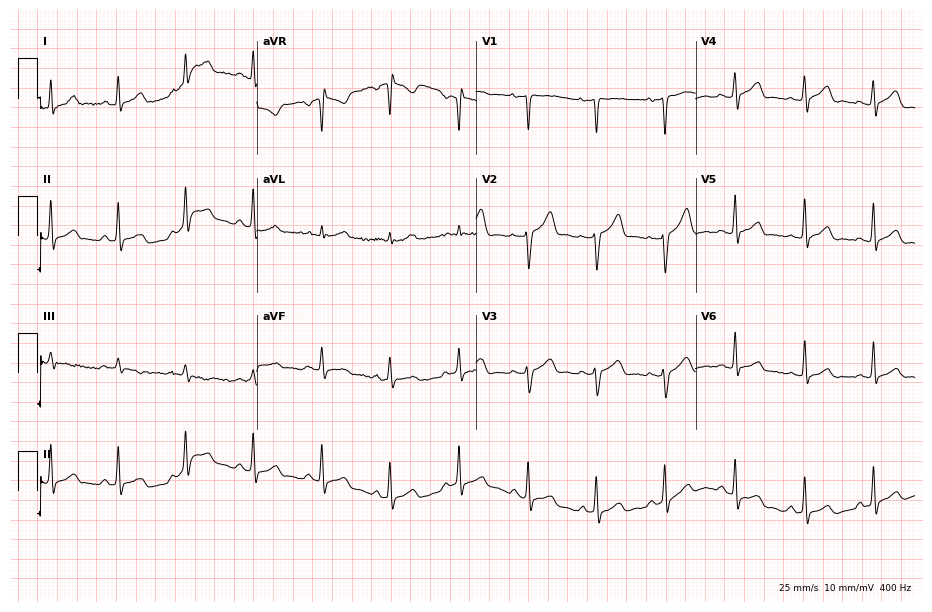
Resting 12-lead electrocardiogram. Patient: a male, 34 years old. Read as a normal ECG.